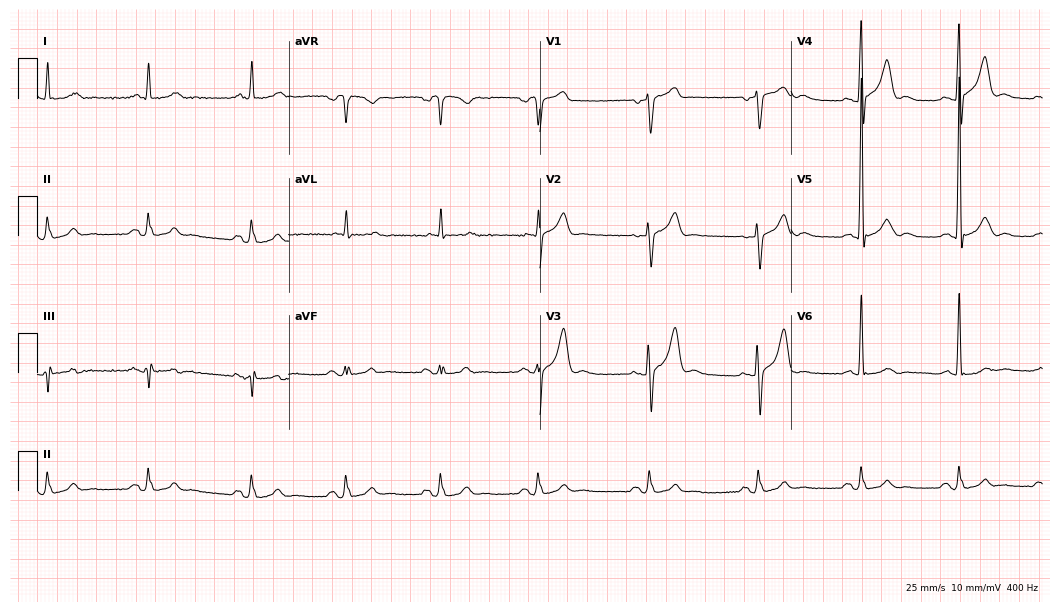
Resting 12-lead electrocardiogram. Patient: a male, 52 years old. Read as a normal ECG.